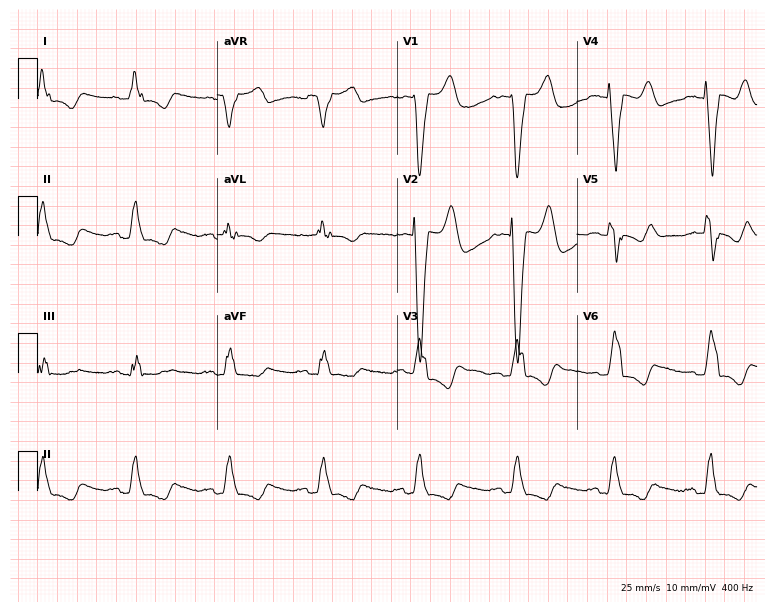
Standard 12-lead ECG recorded from a female, 74 years old. The tracing shows left bundle branch block.